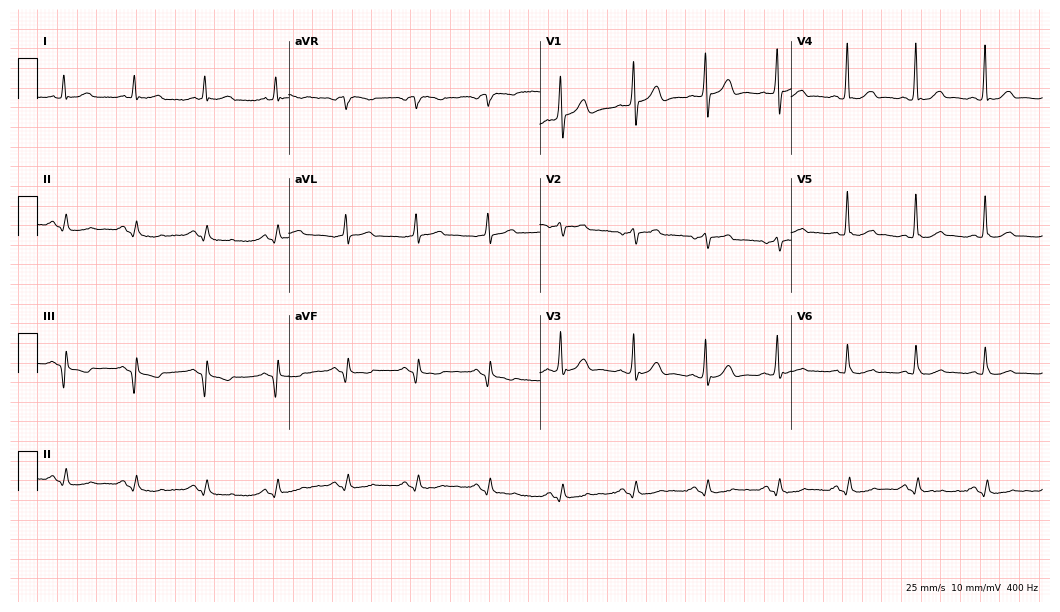
Standard 12-lead ECG recorded from a male patient, 66 years old (10.2-second recording at 400 Hz). Read as a normal ECG.